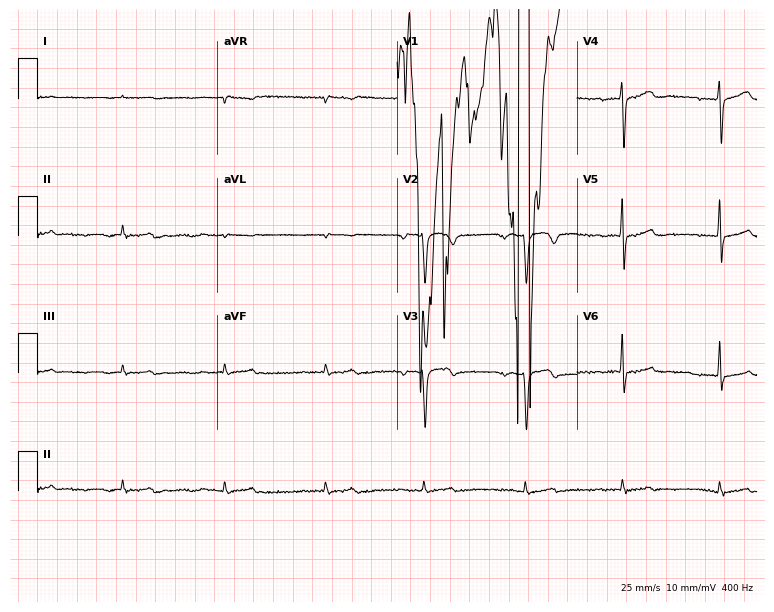
12-lead ECG (7.3-second recording at 400 Hz) from a woman, 70 years old. Screened for six findings — first-degree AV block, right bundle branch block, left bundle branch block, sinus bradycardia, atrial fibrillation, sinus tachycardia — none is recorded. Other findings, if any, are not listed.